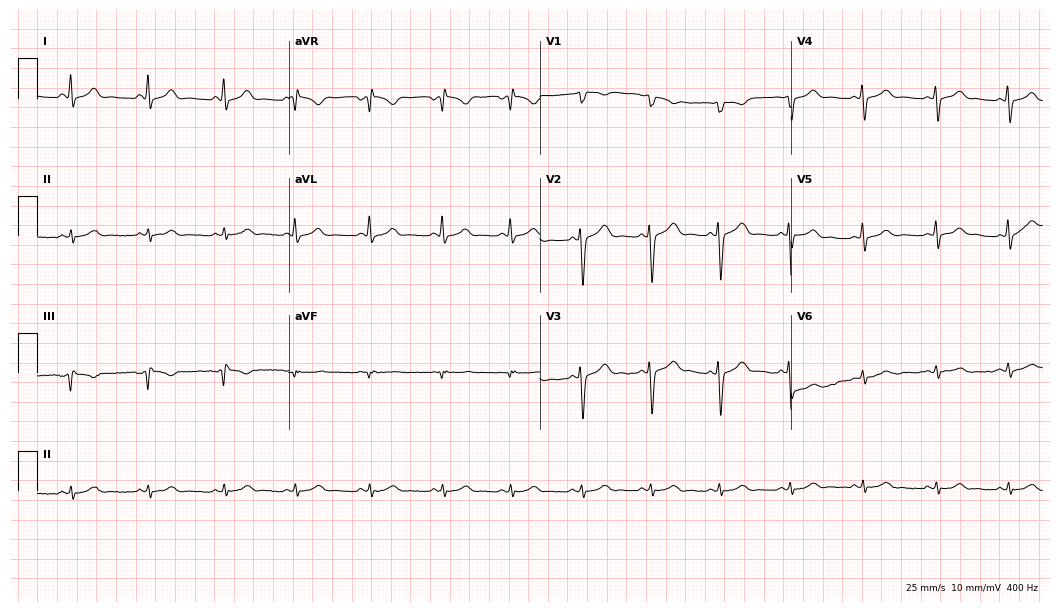
12-lead ECG (10.2-second recording at 400 Hz) from a female, 20 years old. Screened for six findings — first-degree AV block, right bundle branch block, left bundle branch block, sinus bradycardia, atrial fibrillation, sinus tachycardia — none is recorded.